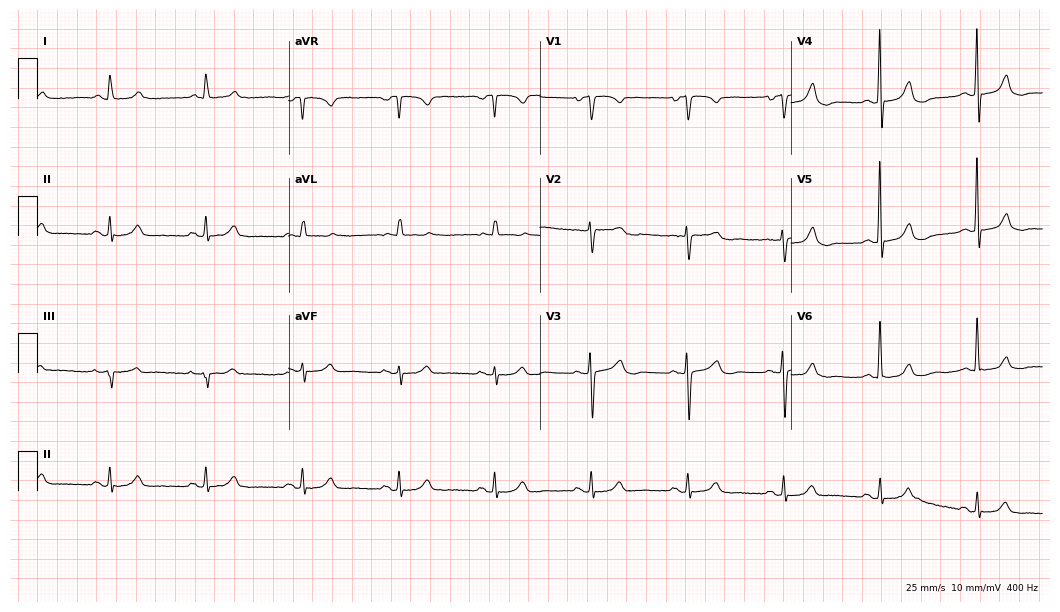
Electrocardiogram (10.2-second recording at 400 Hz), an 84-year-old woman. Overall reading on record: normal ECG.